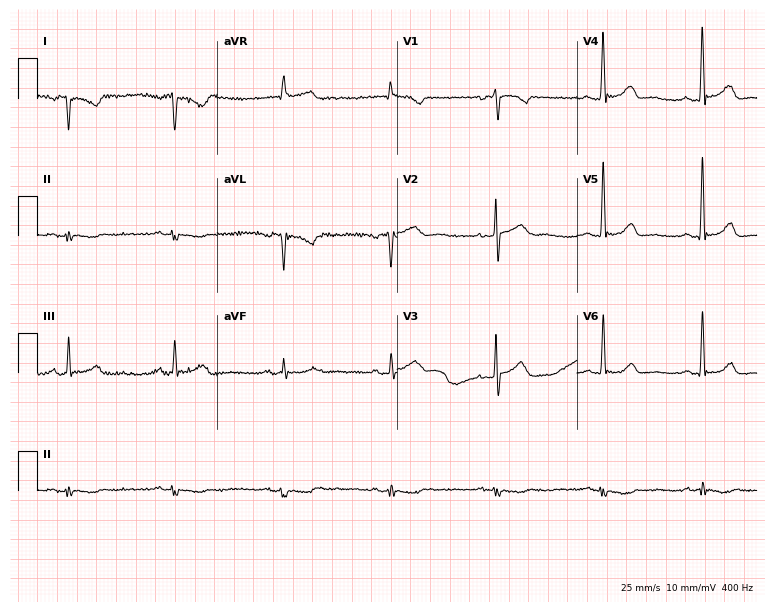
Standard 12-lead ECG recorded from a female, 72 years old. None of these six findings is recorded: first-degree AV block, right bundle branch block, left bundle branch block, sinus bradycardia, atrial fibrillation, sinus tachycardia.